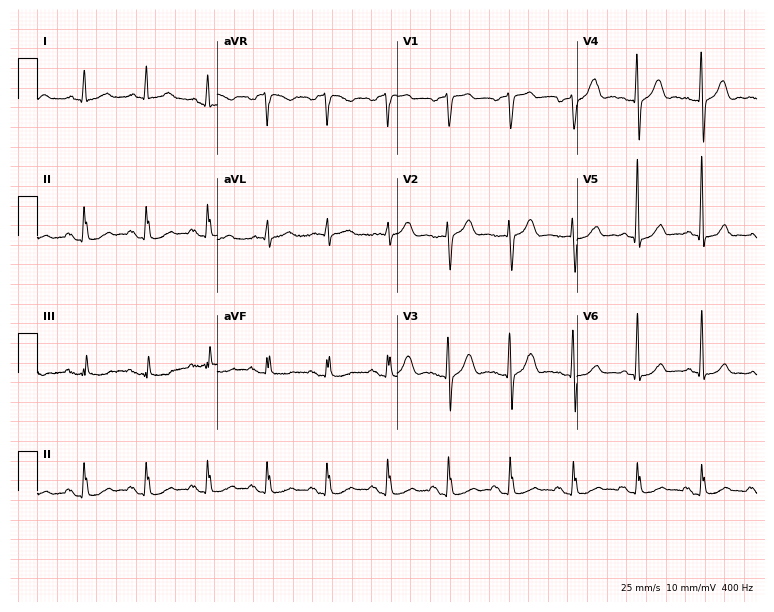
Resting 12-lead electrocardiogram (7.3-second recording at 400 Hz). Patient: a 58-year-old male. None of these six findings is recorded: first-degree AV block, right bundle branch block, left bundle branch block, sinus bradycardia, atrial fibrillation, sinus tachycardia.